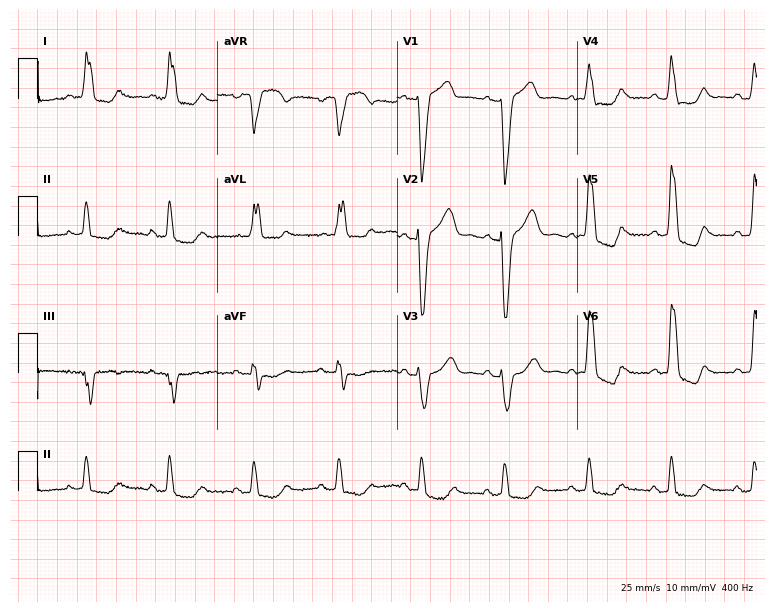
12-lead ECG (7.3-second recording at 400 Hz) from a 74-year-old woman. Findings include left bundle branch block.